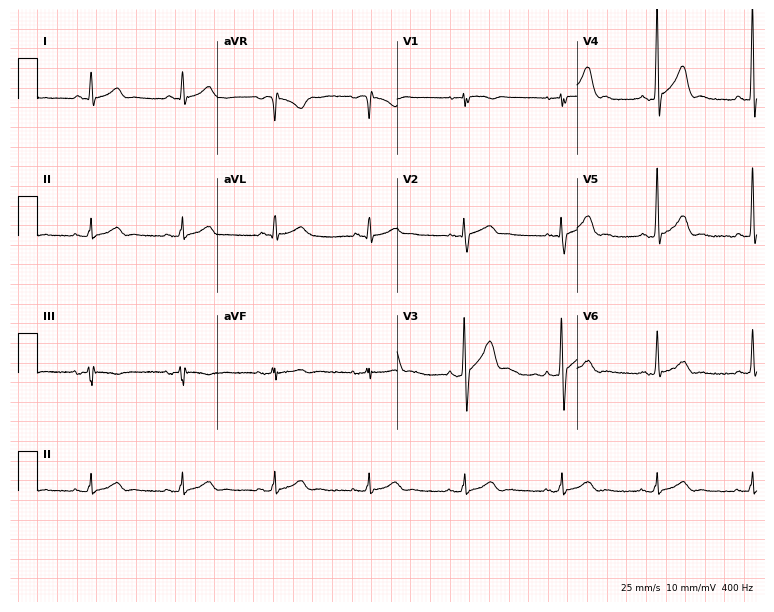
Electrocardiogram (7.3-second recording at 400 Hz), a 61-year-old male. Of the six screened findings (first-degree AV block, right bundle branch block, left bundle branch block, sinus bradycardia, atrial fibrillation, sinus tachycardia), none is recorded. Findings outside these six are not listed.